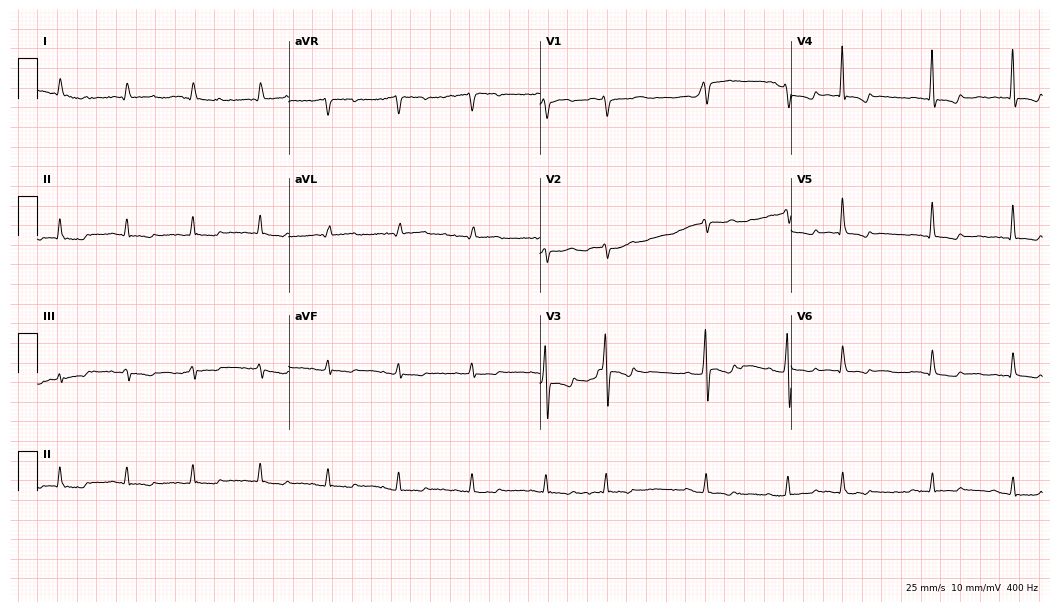
12-lead ECG from a woman, 80 years old (10.2-second recording at 400 Hz). No first-degree AV block, right bundle branch block, left bundle branch block, sinus bradycardia, atrial fibrillation or sinus tachycardia recorded for this tracing.